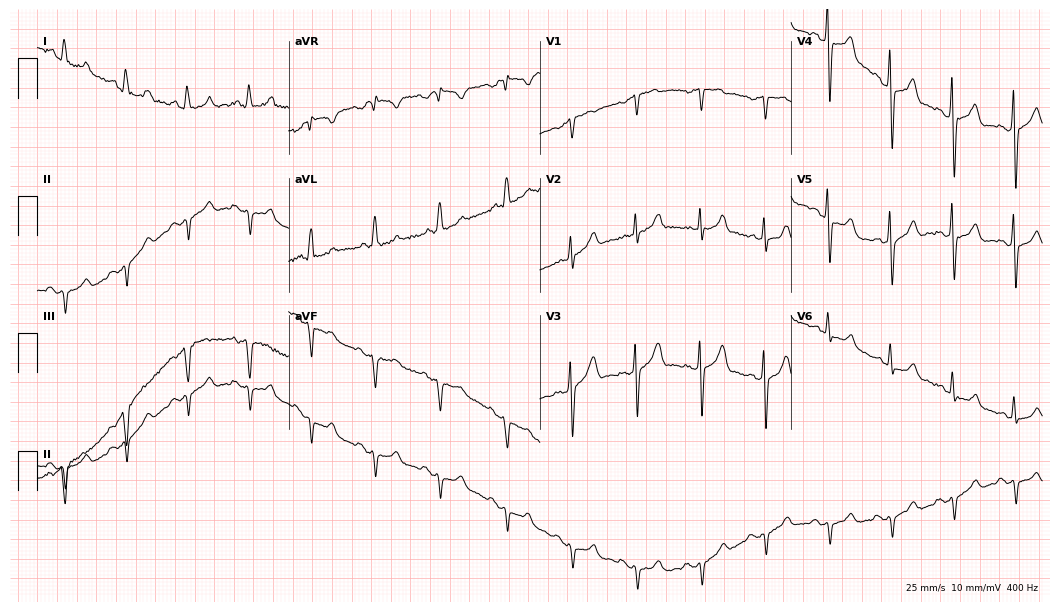
12-lead ECG from a 47-year-old man (10.2-second recording at 400 Hz). No first-degree AV block, right bundle branch block, left bundle branch block, sinus bradycardia, atrial fibrillation or sinus tachycardia recorded for this tracing. Only these six findings were labelled.